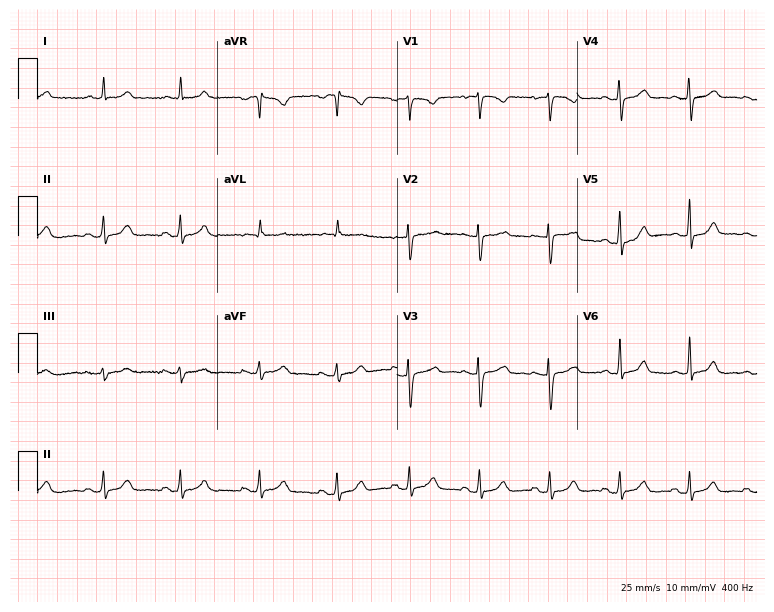
Electrocardiogram, a woman, 37 years old. Of the six screened findings (first-degree AV block, right bundle branch block (RBBB), left bundle branch block (LBBB), sinus bradycardia, atrial fibrillation (AF), sinus tachycardia), none is recorded. Other findings, if any, are not listed.